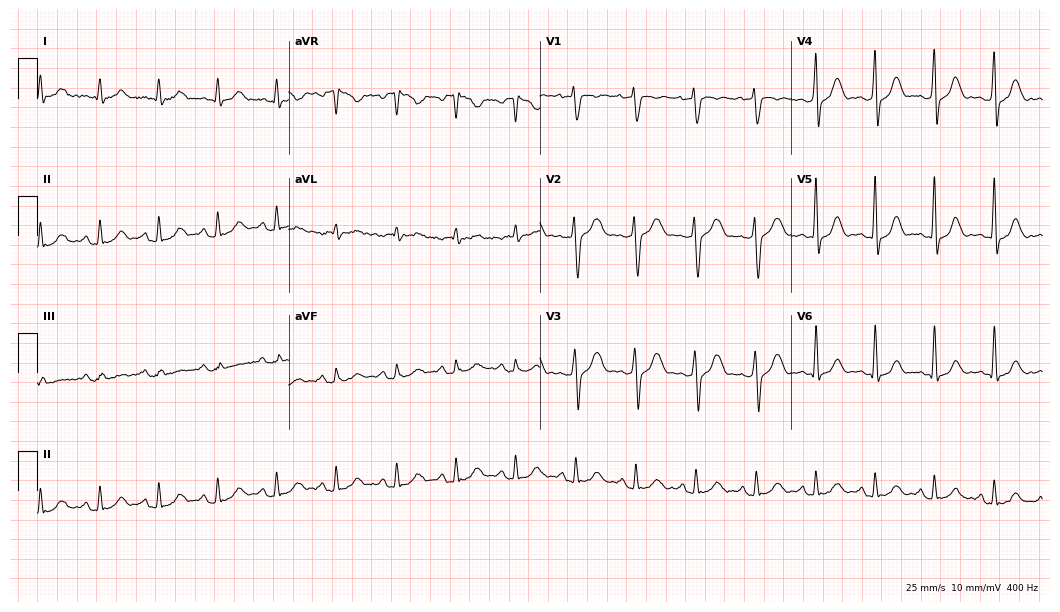
12-lead ECG from a male, 43 years old (10.2-second recording at 400 Hz). No first-degree AV block, right bundle branch block, left bundle branch block, sinus bradycardia, atrial fibrillation or sinus tachycardia recorded for this tracing.